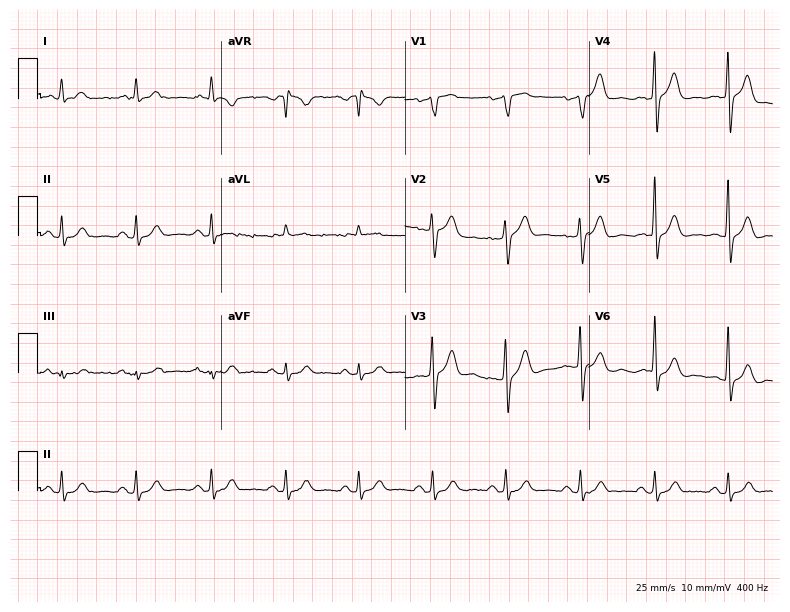
12-lead ECG from a male, 71 years old (7.5-second recording at 400 Hz). No first-degree AV block, right bundle branch block, left bundle branch block, sinus bradycardia, atrial fibrillation or sinus tachycardia recorded for this tracing.